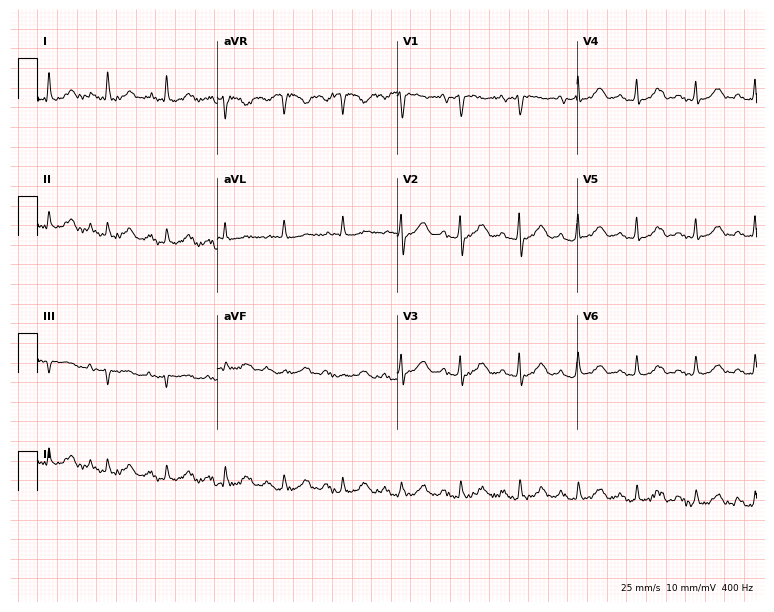
Standard 12-lead ECG recorded from a female patient, 82 years old (7.3-second recording at 400 Hz). The tracing shows sinus tachycardia (a sinus rate of 100 beats per minute or more).